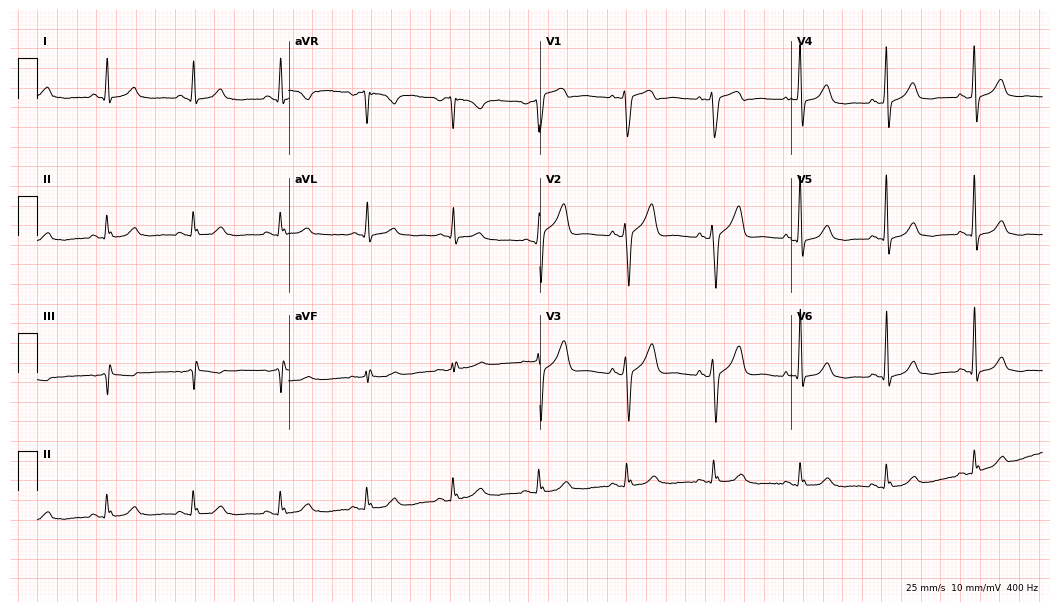
Standard 12-lead ECG recorded from a 66-year-old female (10.2-second recording at 400 Hz). None of these six findings is recorded: first-degree AV block, right bundle branch block, left bundle branch block, sinus bradycardia, atrial fibrillation, sinus tachycardia.